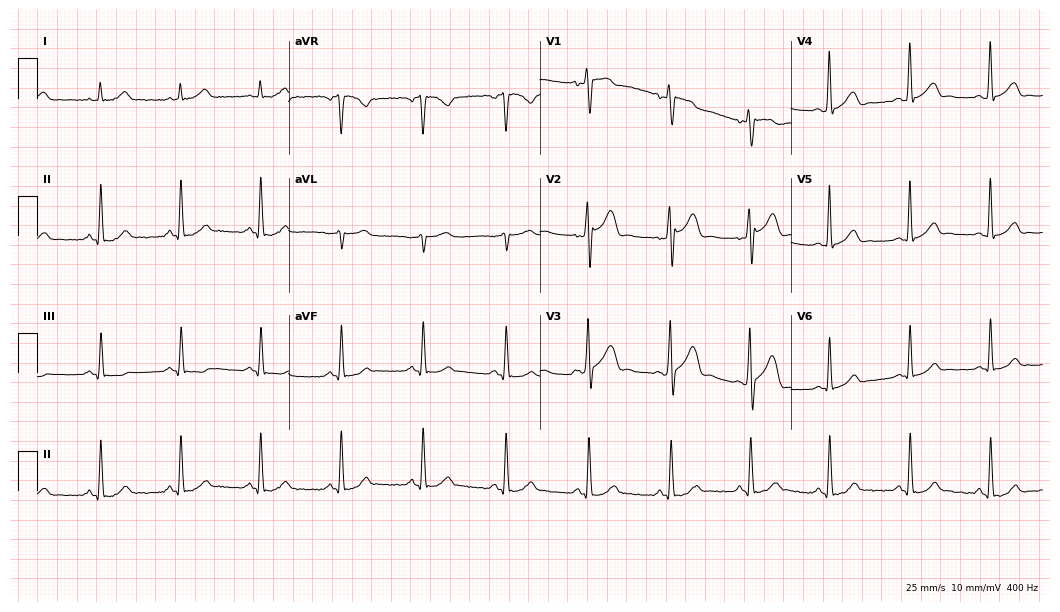
ECG (10.2-second recording at 400 Hz) — a 37-year-old man. Labelled as a normal ECG.